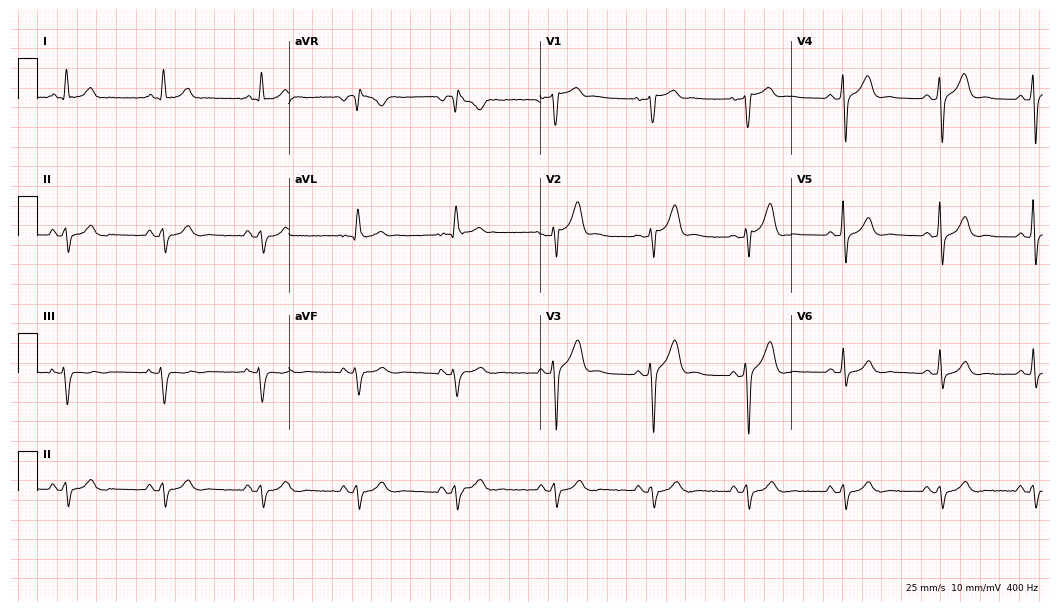
12-lead ECG from a man, 55 years old (10.2-second recording at 400 Hz). No first-degree AV block, right bundle branch block, left bundle branch block, sinus bradycardia, atrial fibrillation or sinus tachycardia recorded for this tracing.